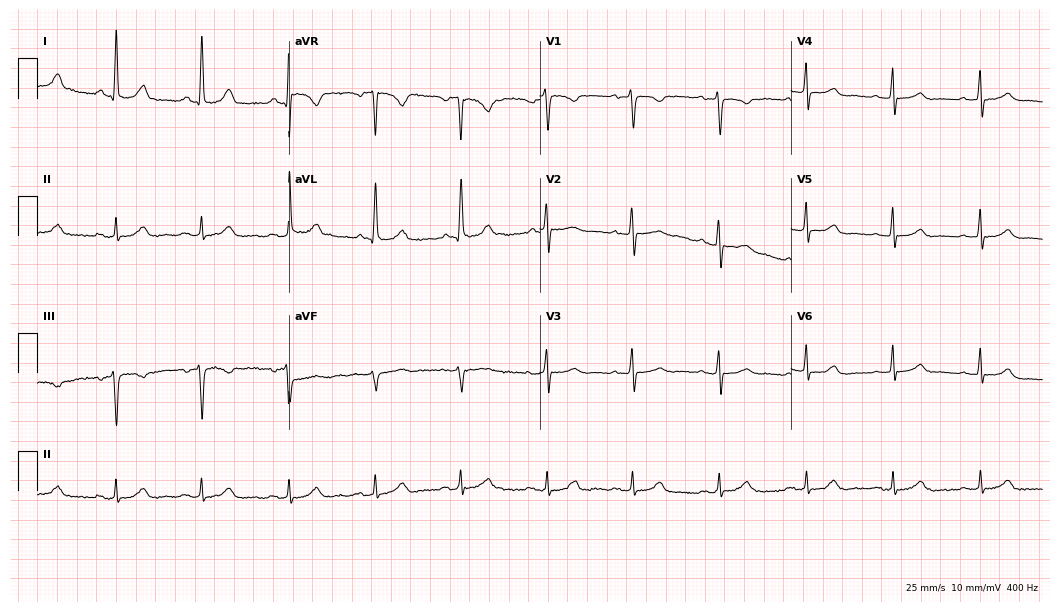
Resting 12-lead electrocardiogram (10.2-second recording at 400 Hz). Patient: a woman, 73 years old. None of these six findings is recorded: first-degree AV block, right bundle branch block (RBBB), left bundle branch block (LBBB), sinus bradycardia, atrial fibrillation (AF), sinus tachycardia. Other findings, if any, are not listed.